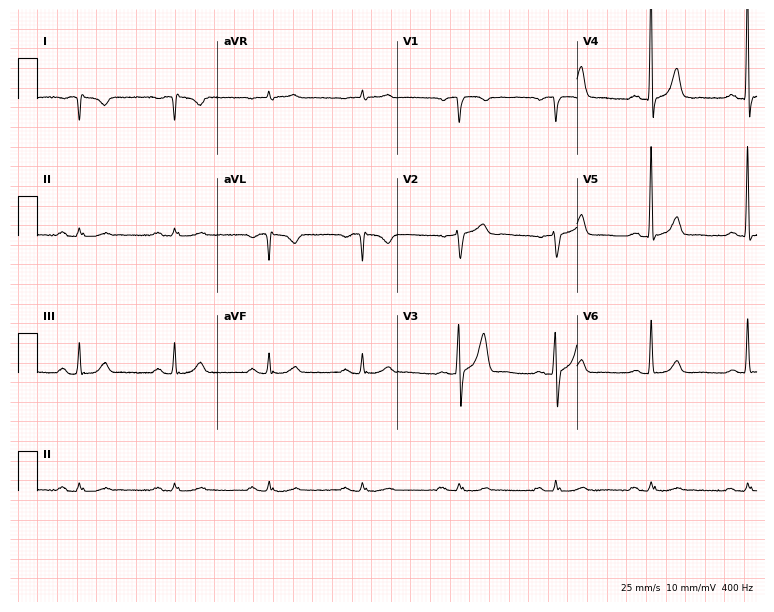
Resting 12-lead electrocardiogram. Patient: a 68-year-old woman. None of these six findings is recorded: first-degree AV block, right bundle branch block, left bundle branch block, sinus bradycardia, atrial fibrillation, sinus tachycardia.